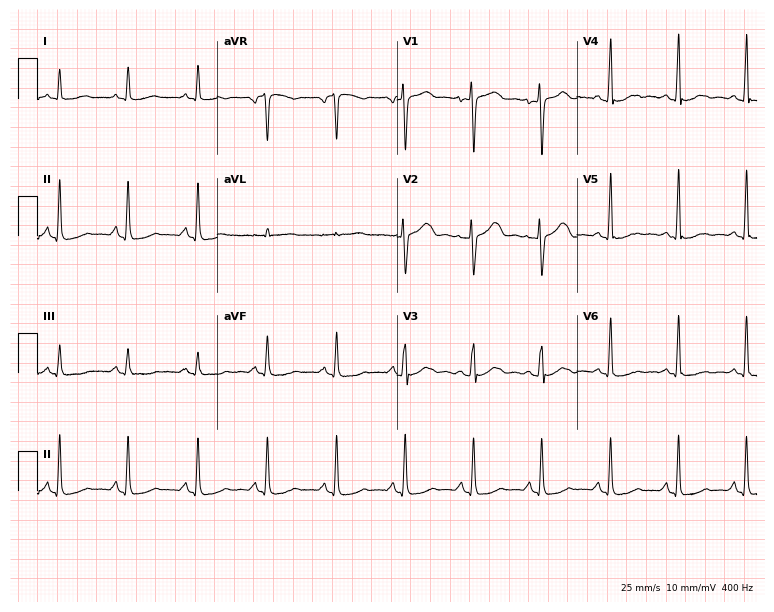
Standard 12-lead ECG recorded from a 47-year-old female. Read as a normal ECG.